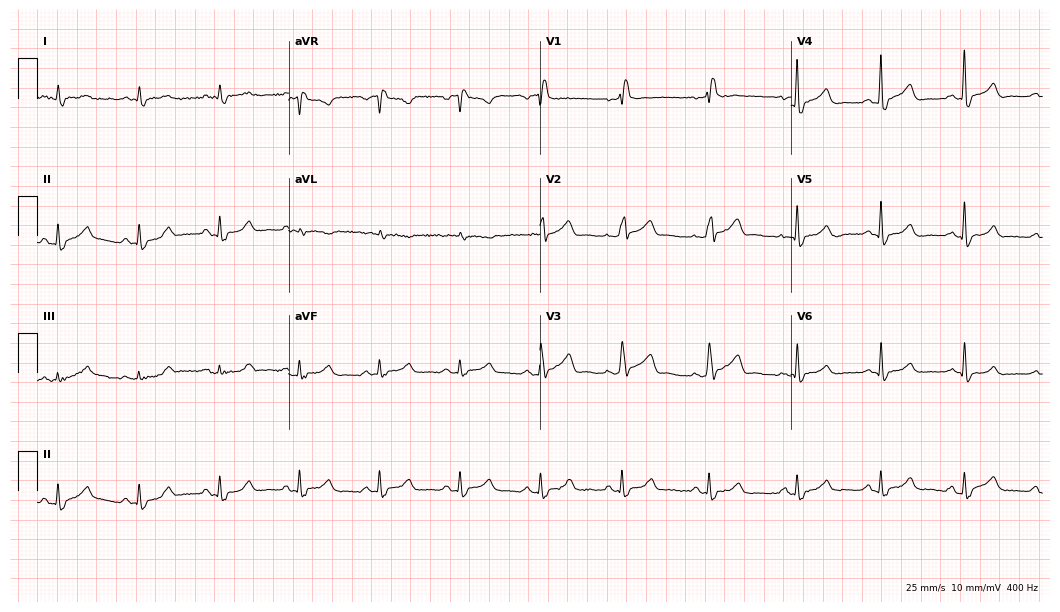
ECG (10.2-second recording at 400 Hz) — a man, 60 years old. Findings include right bundle branch block.